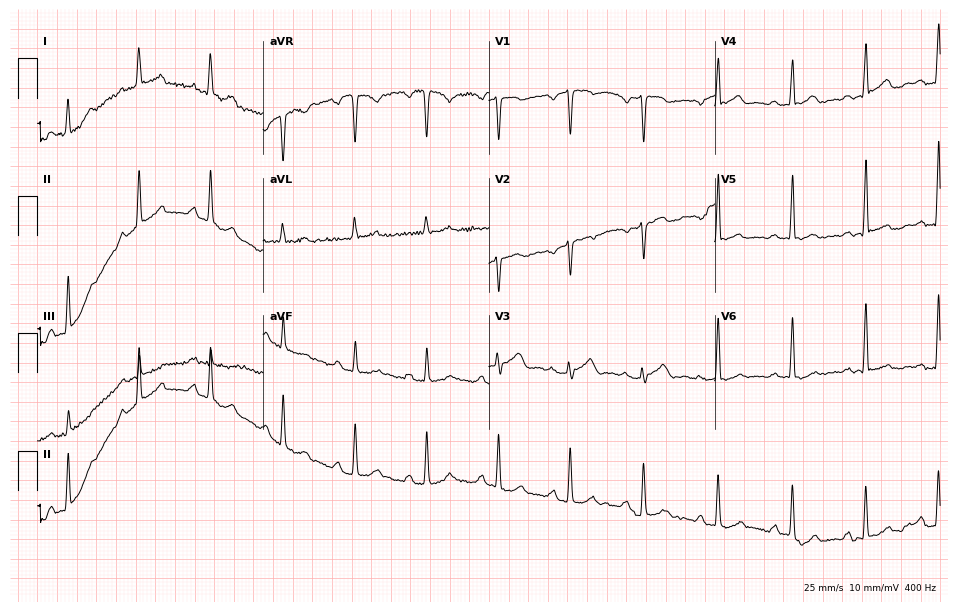
Electrocardiogram, a 46-year-old female. Of the six screened findings (first-degree AV block, right bundle branch block, left bundle branch block, sinus bradycardia, atrial fibrillation, sinus tachycardia), none is recorded. Findings outside these six are not listed.